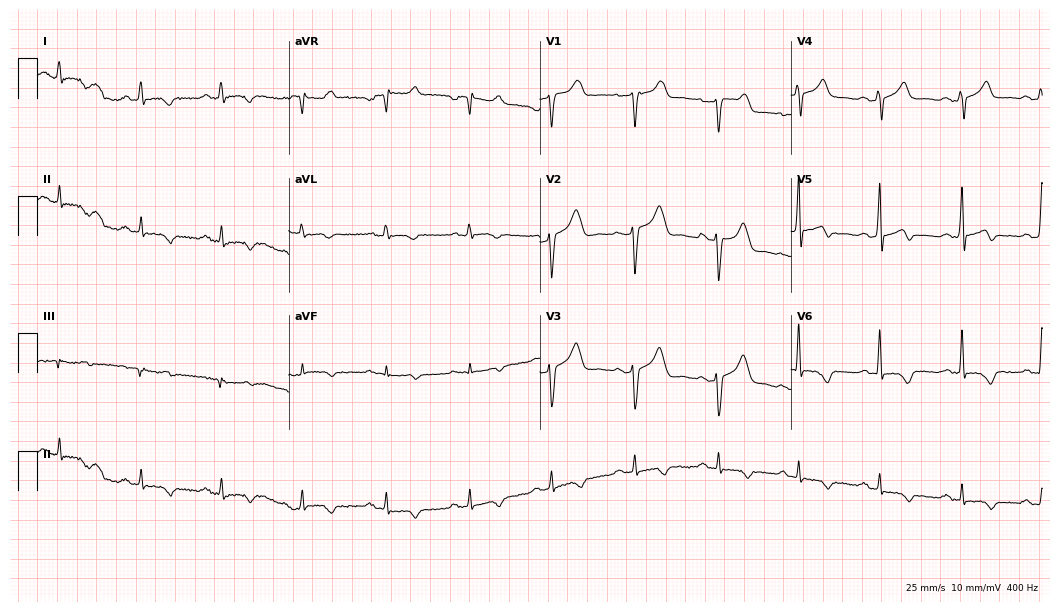
12-lead ECG (10.2-second recording at 400 Hz) from a male patient, 38 years old. Screened for six findings — first-degree AV block, right bundle branch block, left bundle branch block, sinus bradycardia, atrial fibrillation, sinus tachycardia — none is recorded.